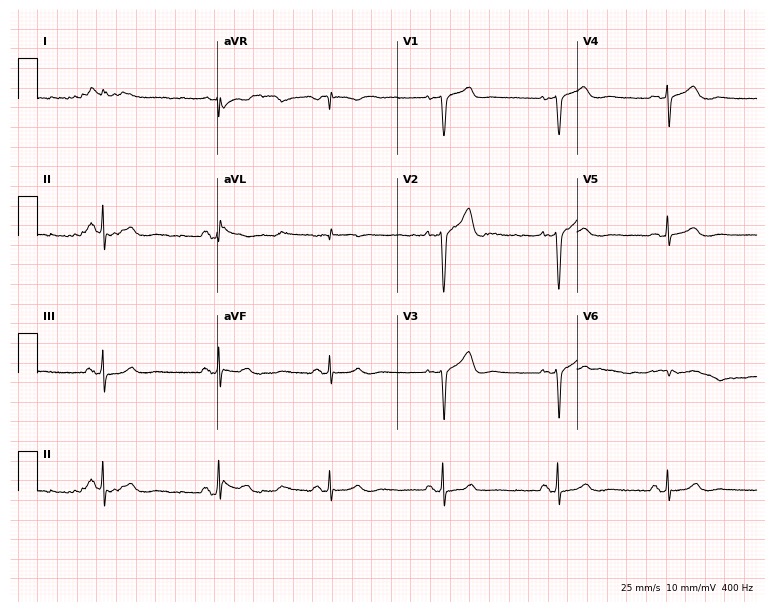
Standard 12-lead ECG recorded from a male, 59 years old. None of these six findings is recorded: first-degree AV block, right bundle branch block (RBBB), left bundle branch block (LBBB), sinus bradycardia, atrial fibrillation (AF), sinus tachycardia.